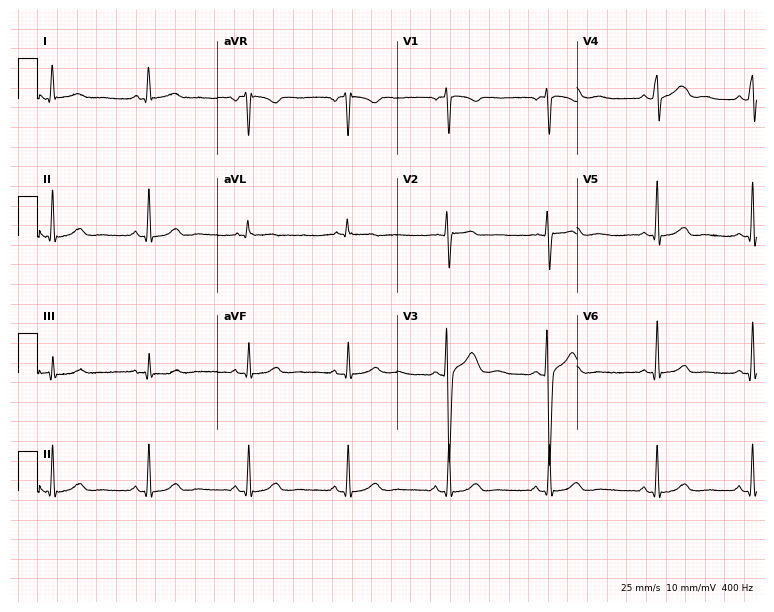
ECG (7.3-second recording at 400 Hz) — a female, 30 years old. Labelled as a normal ECG.